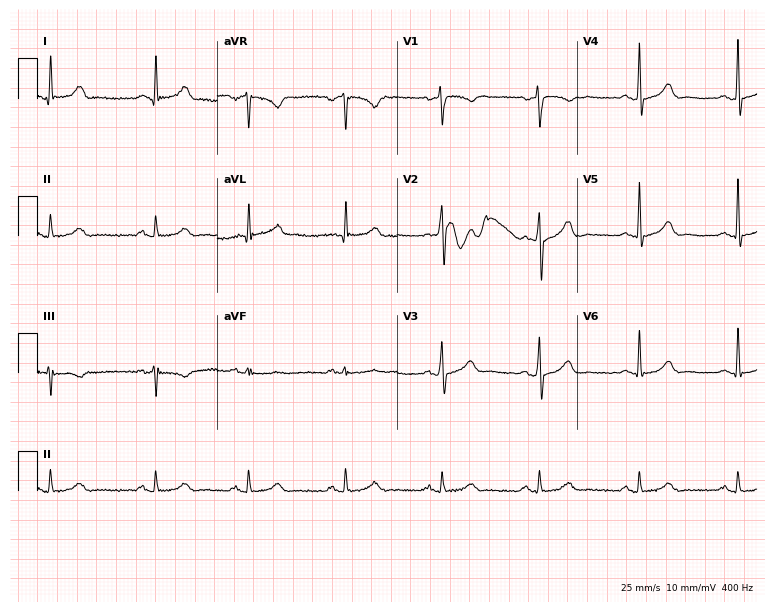
12-lead ECG (7.3-second recording at 400 Hz) from a man, 49 years old. Labelled as a normal ECG.